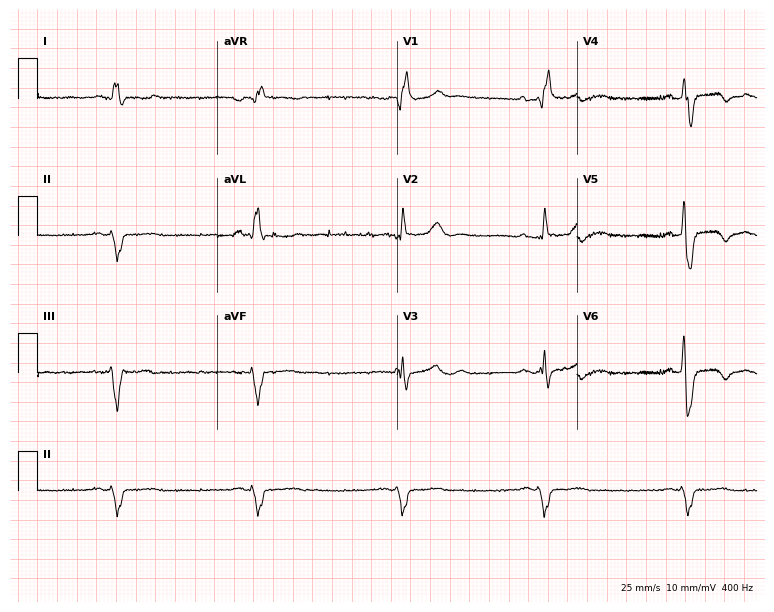
12-lead ECG from a 56-year-old male patient (7.3-second recording at 400 Hz). Shows right bundle branch block (RBBB), left bundle branch block (LBBB), sinus bradycardia (a sinus rate of 50 beats per minute or less).